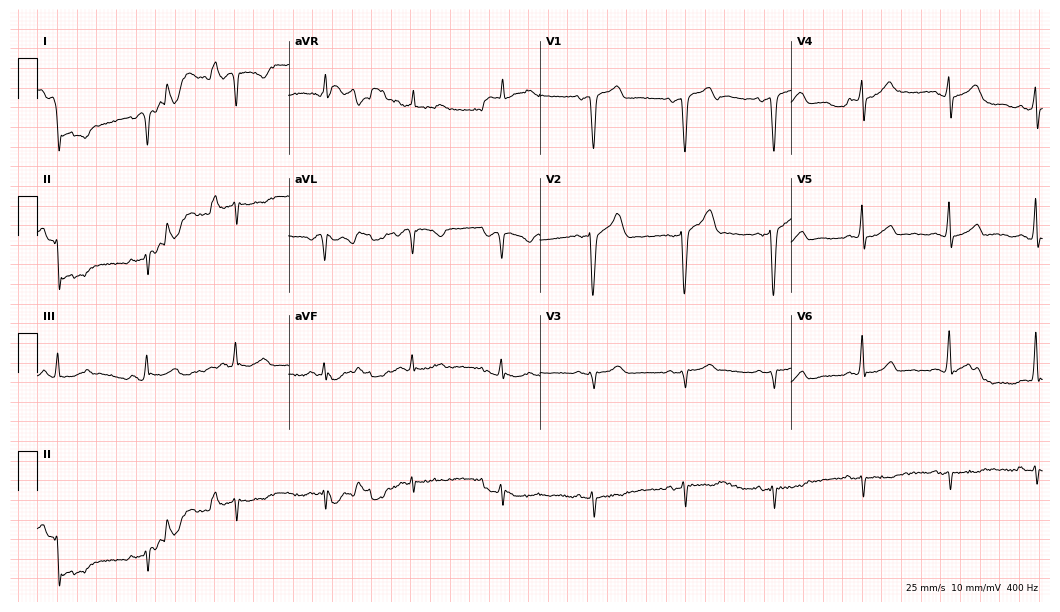
Standard 12-lead ECG recorded from a 68-year-old man (10.2-second recording at 400 Hz). None of these six findings is recorded: first-degree AV block, right bundle branch block, left bundle branch block, sinus bradycardia, atrial fibrillation, sinus tachycardia.